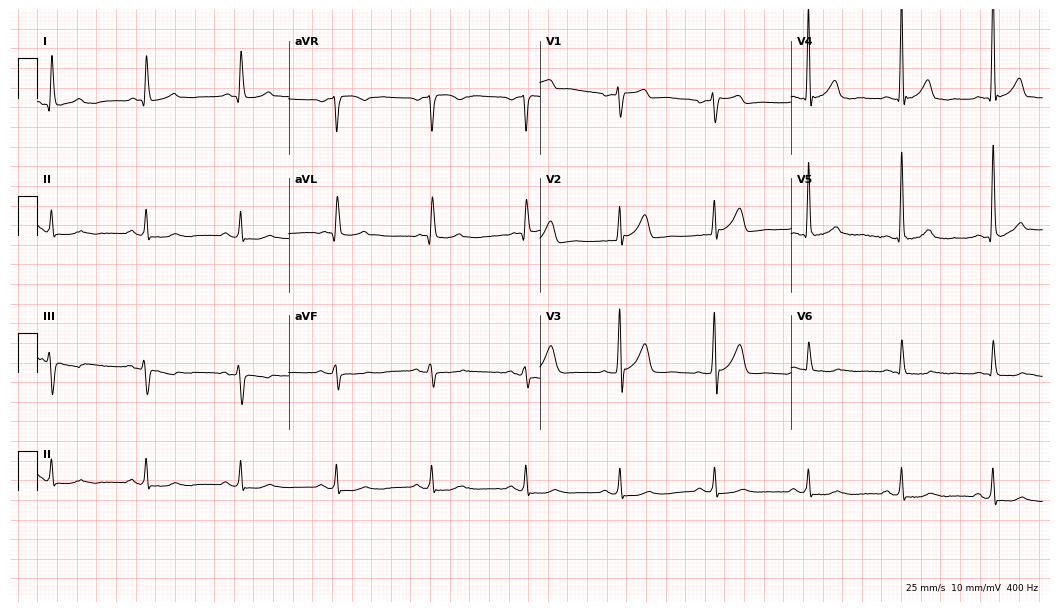
ECG — a male, 77 years old. Screened for six findings — first-degree AV block, right bundle branch block (RBBB), left bundle branch block (LBBB), sinus bradycardia, atrial fibrillation (AF), sinus tachycardia — none is recorded.